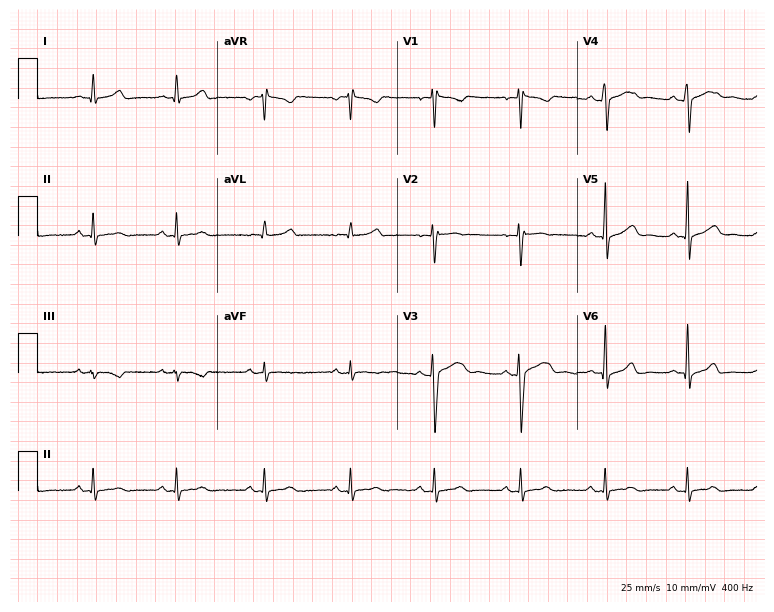
Electrocardiogram (7.3-second recording at 400 Hz), a woman, 24 years old. Of the six screened findings (first-degree AV block, right bundle branch block, left bundle branch block, sinus bradycardia, atrial fibrillation, sinus tachycardia), none is recorded.